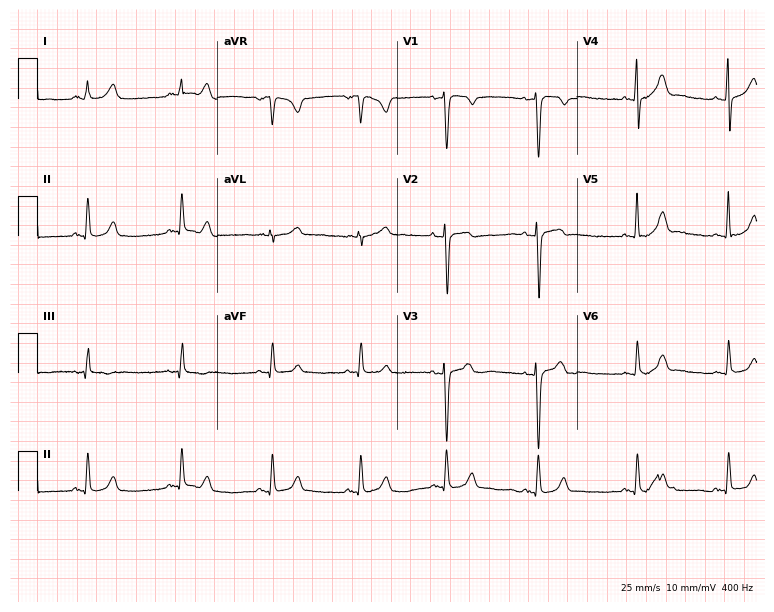
12-lead ECG from a 22-year-old male. Labelled as a normal ECG.